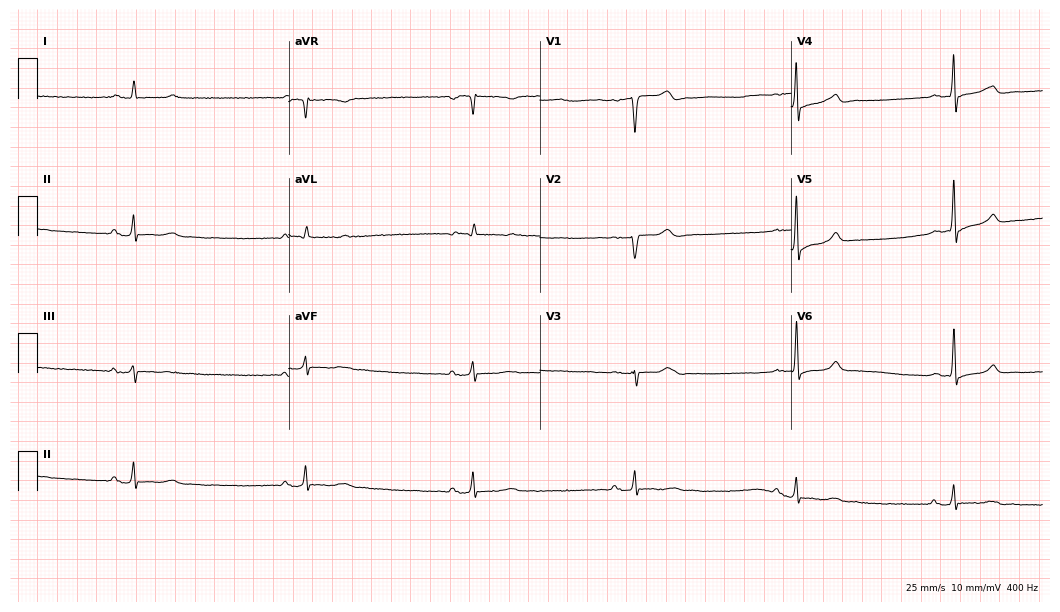
12-lead ECG from a 57-year-old man. No first-degree AV block, right bundle branch block (RBBB), left bundle branch block (LBBB), sinus bradycardia, atrial fibrillation (AF) or sinus tachycardia recorded for this tracing.